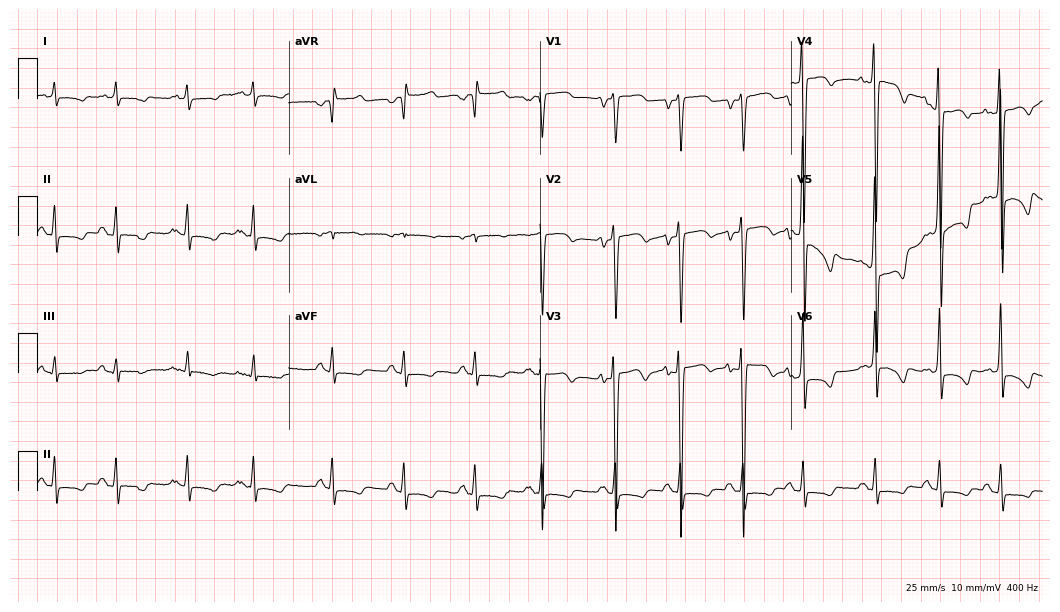
12-lead ECG from a 63-year-old male patient. No first-degree AV block, right bundle branch block (RBBB), left bundle branch block (LBBB), sinus bradycardia, atrial fibrillation (AF) or sinus tachycardia recorded for this tracing.